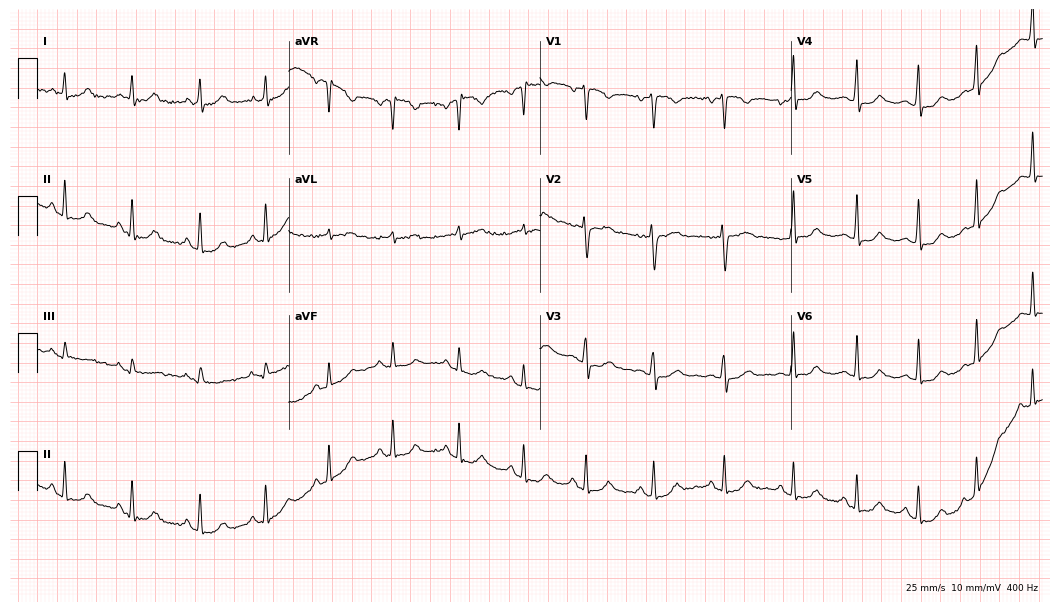
Standard 12-lead ECG recorded from a female patient, 41 years old (10.2-second recording at 400 Hz). Read as a normal ECG.